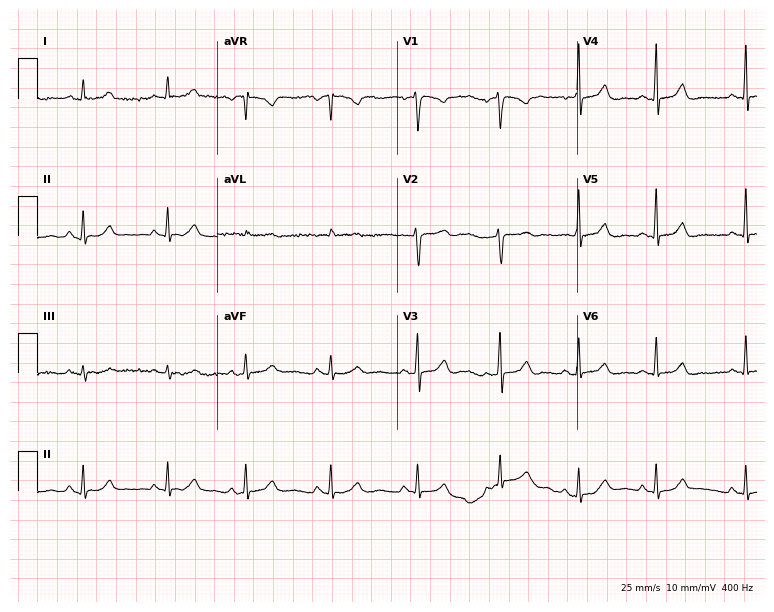
Resting 12-lead electrocardiogram (7.3-second recording at 400 Hz). Patient: a woman, 35 years old. None of these six findings is recorded: first-degree AV block, right bundle branch block, left bundle branch block, sinus bradycardia, atrial fibrillation, sinus tachycardia.